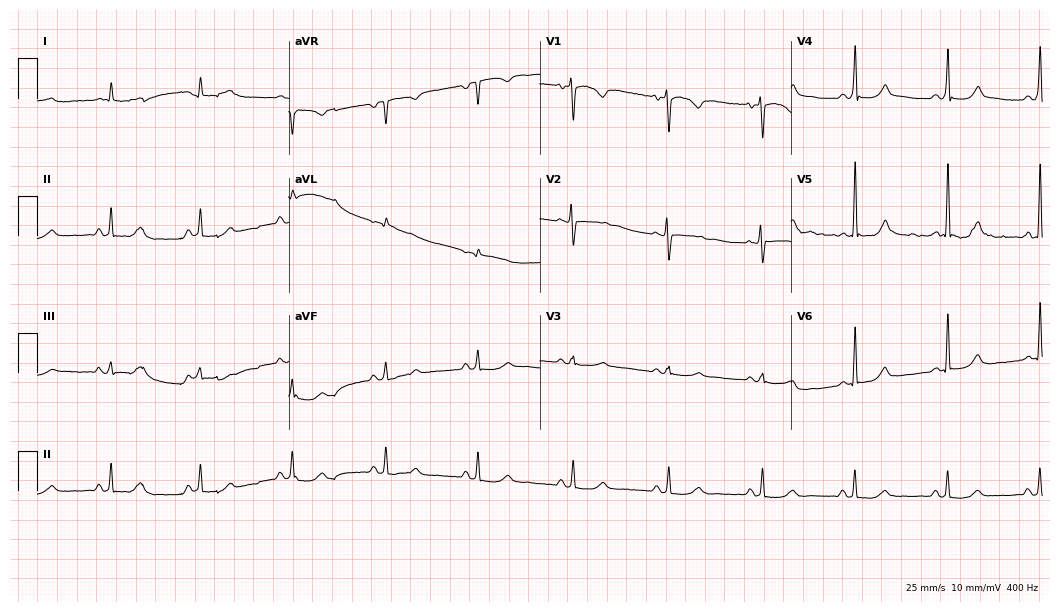
Resting 12-lead electrocardiogram. Patient: a 55-year-old female. None of these six findings is recorded: first-degree AV block, right bundle branch block, left bundle branch block, sinus bradycardia, atrial fibrillation, sinus tachycardia.